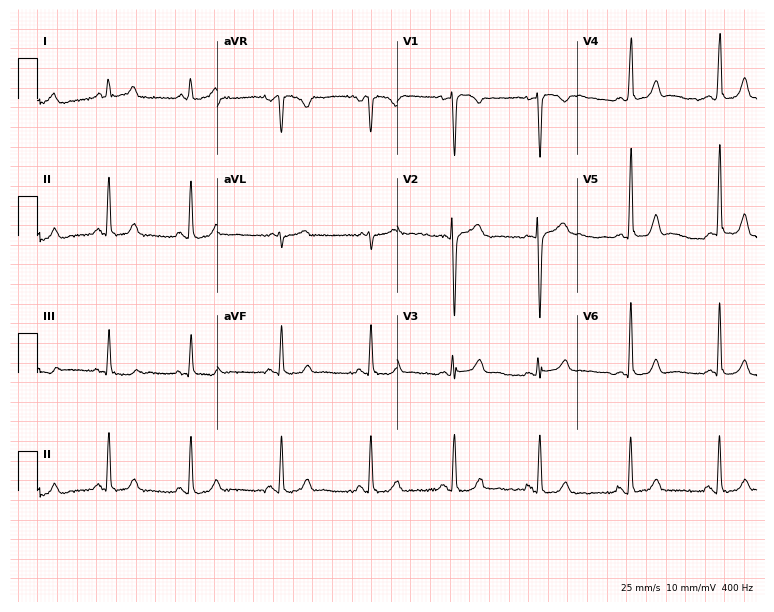
Standard 12-lead ECG recorded from a 27-year-old female patient (7.3-second recording at 400 Hz). Read as a normal ECG.